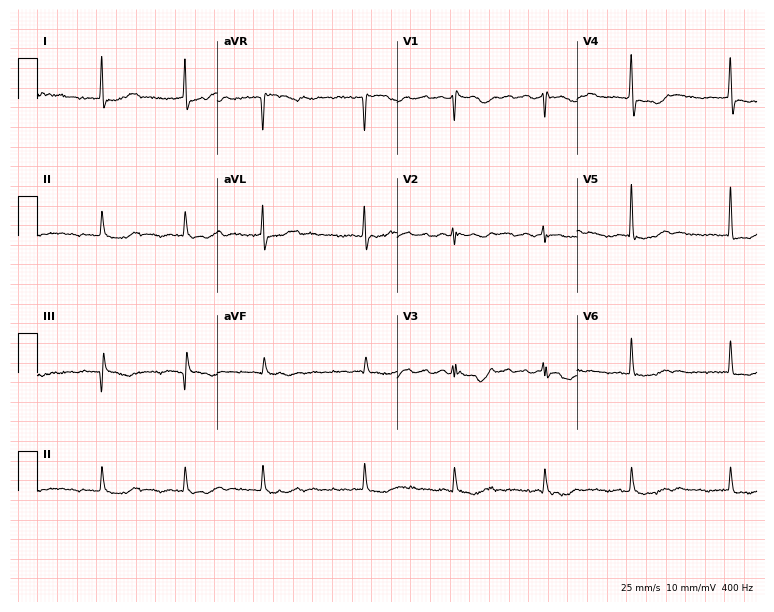
12-lead ECG from a 73-year-old female patient (7.3-second recording at 400 Hz). Shows atrial fibrillation.